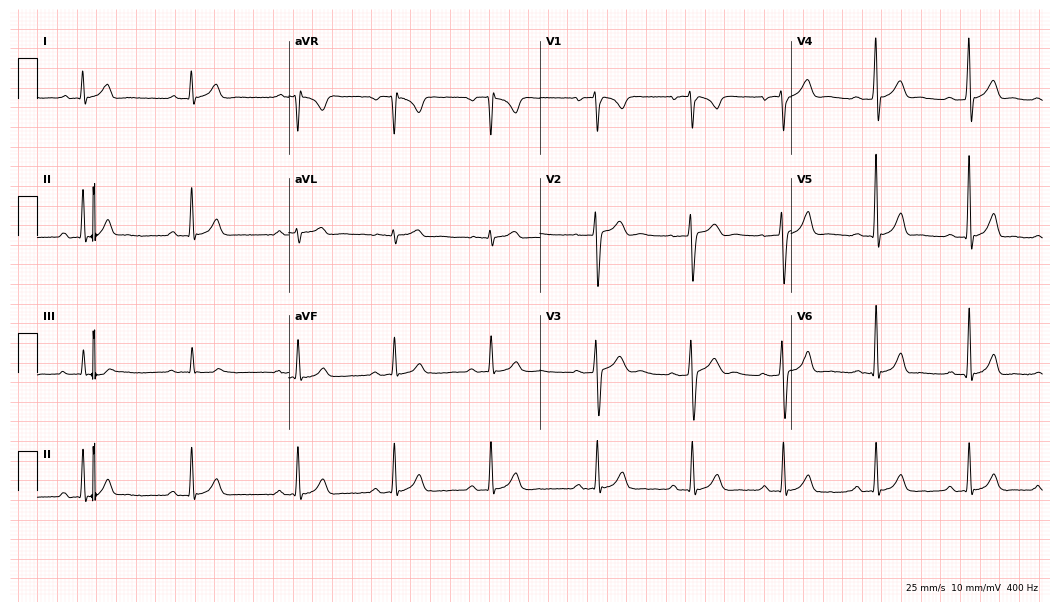
Electrocardiogram (10.2-second recording at 400 Hz), a man, 22 years old. Overall reading on record: normal ECG.